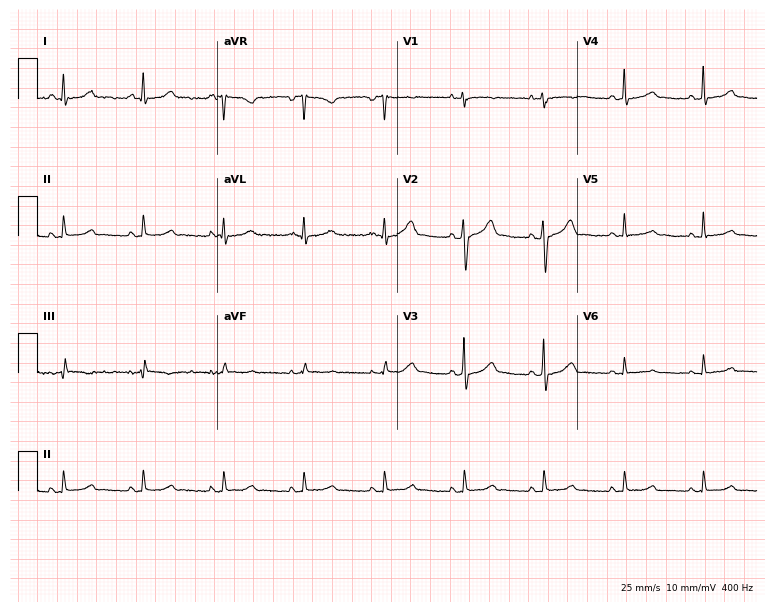
Resting 12-lead electrocardiogram. Patient: a male, 56 years old. Read as a normal ECG.